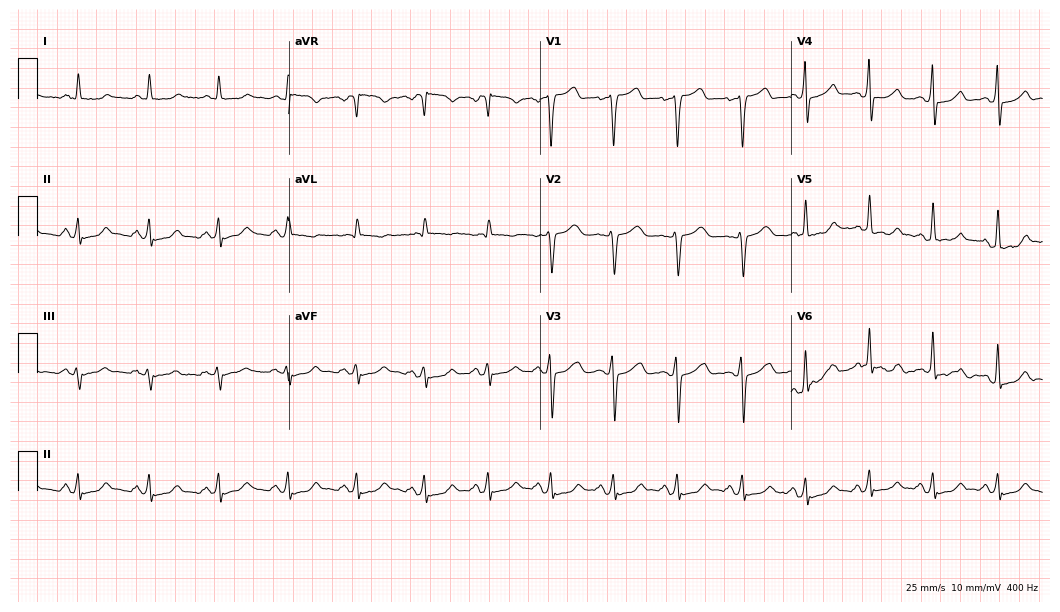
ECG — a 67-year-old man. Screened for six findings — first-degree AV block, right bundle branch block (RBBB), left bundle branch block (LBBB), sinus bradycardia, atrial fibrillation (AF), sinus tachycardia — none is recorded. Findings outside these six are not listed.